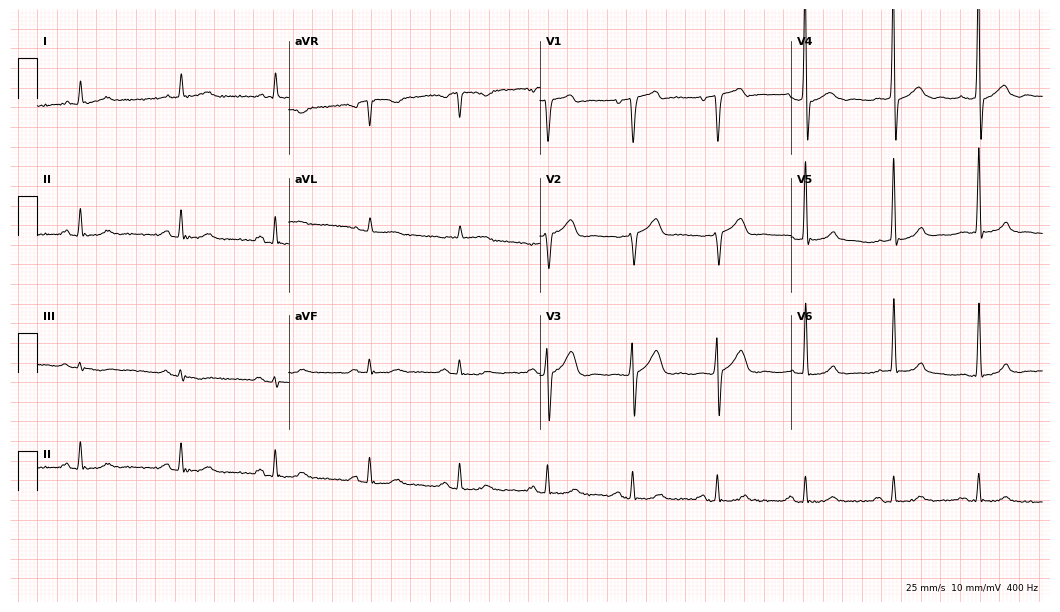
Resting 12-lead electrocardiogram. Patient: a 79-year-old man. None of these six findings is recorded: first-degree AV block, right bundle branch block, left bundle branch block, sinus bradycardia, atrial fibrillation, sinus tachycardia.